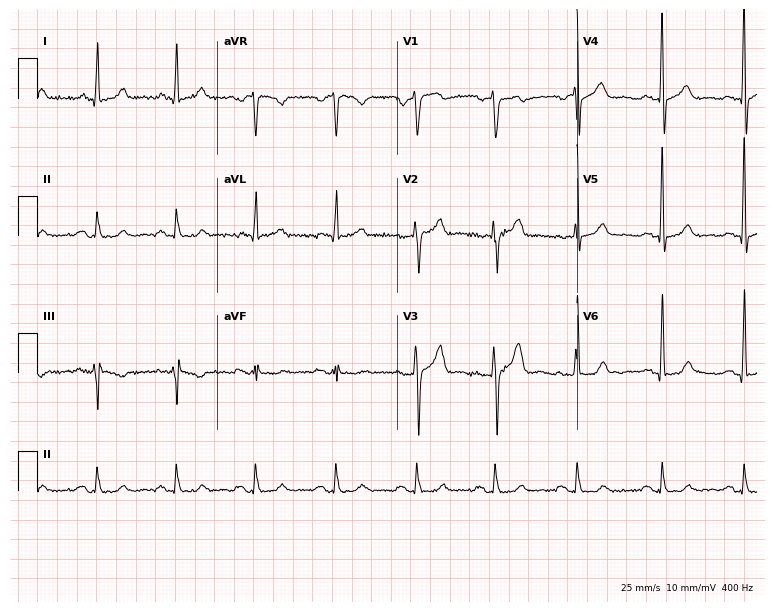
12-lead ECG from a man, 40 years old. No first-degree AV block, right bundle branch block (RBBB), left bundle branch block (LBBB), sinus bradycardia, atrial fibrillation (AF) or sinus tachycardia recorded for this tracing.